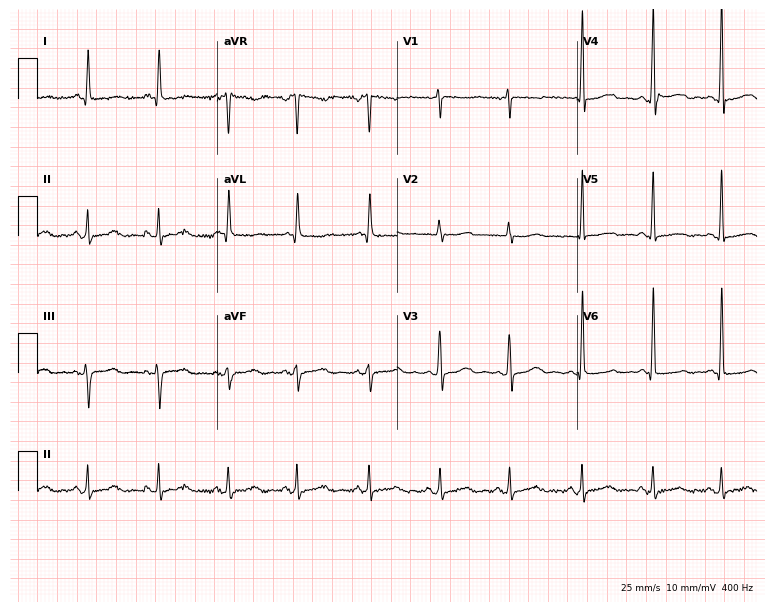
12-lead ECG from a 74-year-old female patient. Screened for six findings — first-degree AV block, right bundle branch block, left bundle branch block, sinus bradycardia, atrial fibrillation, sinus tachycardia — none is recorded. Findings outside these six are not listed.